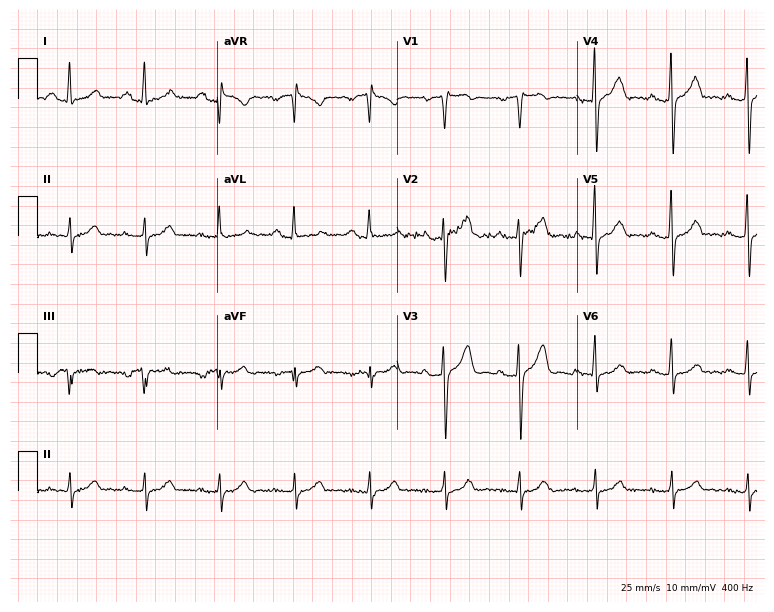
ECG (7.3-second recording at 400 Hz) — a male patient, 41 years old. Screened for six findings — first-degree AV block, right bundle branch block, left bundle branch block, sinus bradycardia, atrial fibrillation, sinus tachycardia — none is recorded.